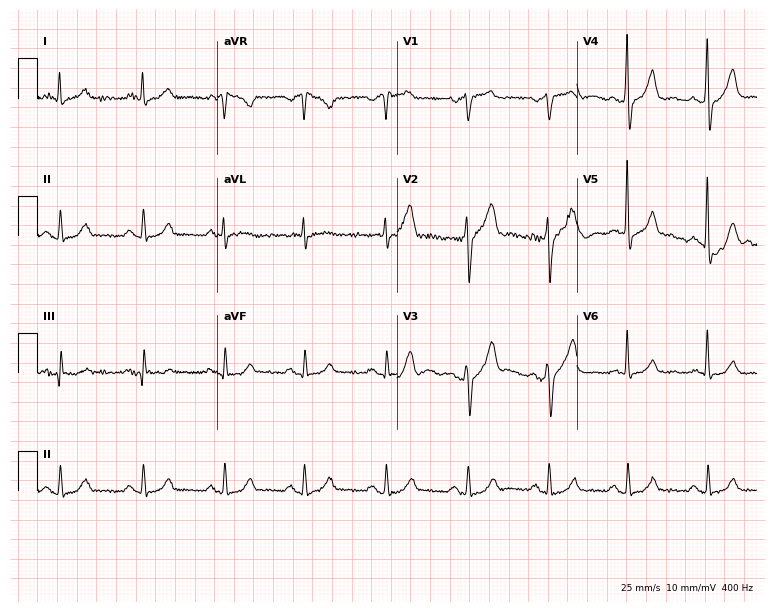
12-lead ECG from a 63-year-old male patient. Recorded interpretation: within normal limits.